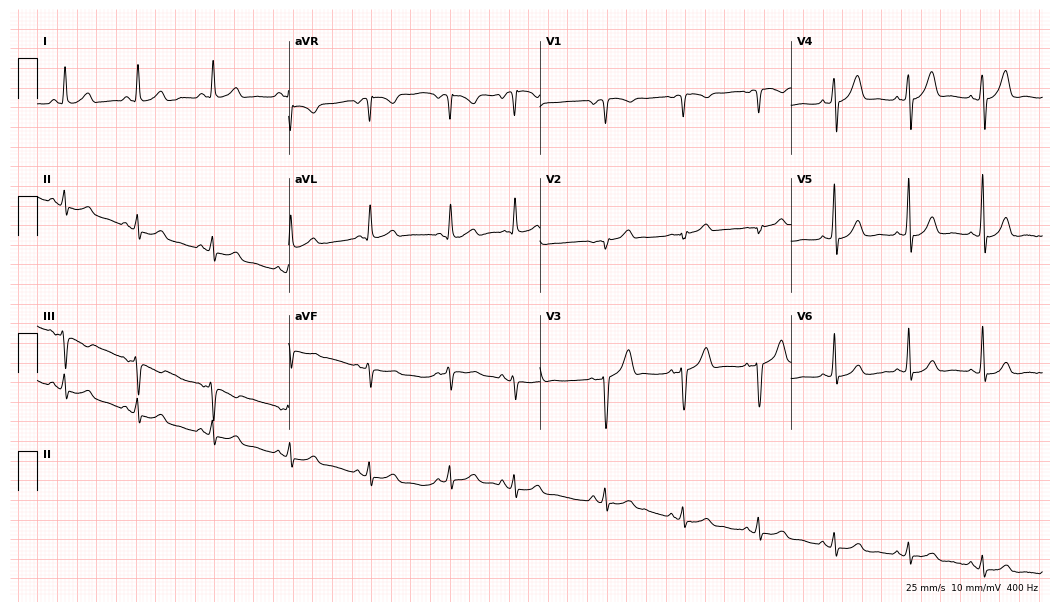
12-lead ECG from a man, 49 years old. Screened for six findings — first-degree AV block, right bundle branch block, left bundle branch block, sinus bradycardia, atrial fibrillation, sinus tachycardia — none is recorded.